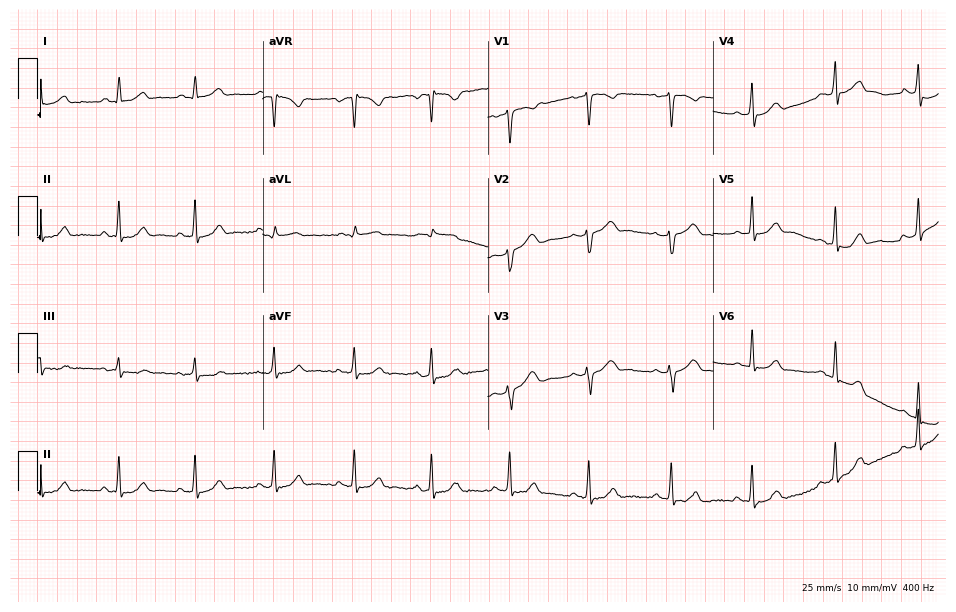
ECG (9.2-second recording at 400 Hz) — a 33-year-old woman. Labelled as a normal ECG.